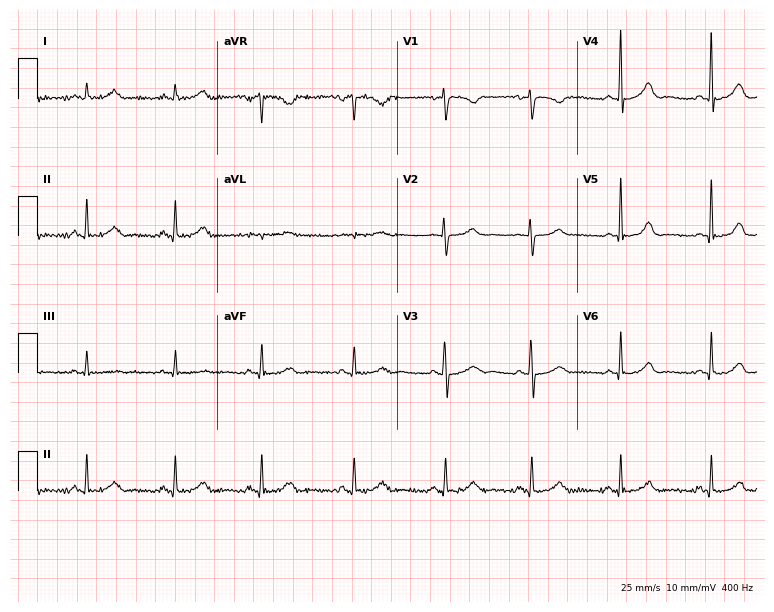
ECG — a 39-year-old woman. Screened for six findings — first-degree AV block, right bundle branch block (RBBB), left bundle branch block (LBBB), sinus bradycardia, atrial fibrillation (AF), sinus tachycardia — none is recorded. Findings outside these six are not listed.